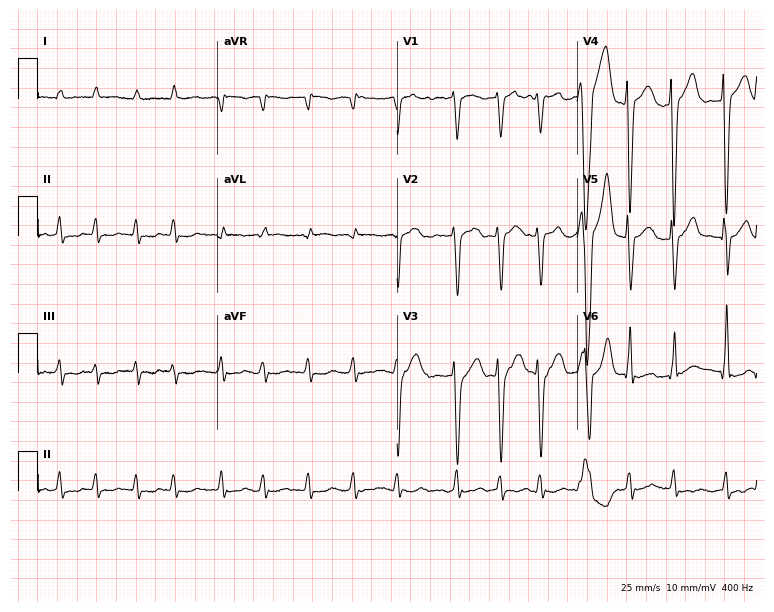
Resting 12-lead electrocardiogram (7.3-second recording at 400 Hz). Patient: an 85-year-old man. None of these six findings is recorded: first-degree AV block, right bundle branch block, left bundle branch block, sinus bradycardia, atrial fibrillation, sinus tachycardia.